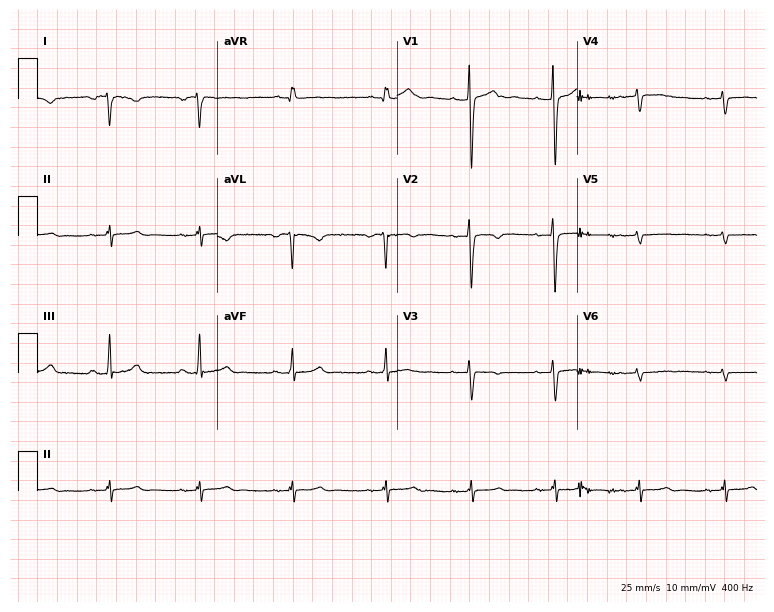
12-lead ECG (7.3-second recording at 400 Hz) from a woman, 23 years old. Screened for six findings — first-degree AV block, right bundle branch block (RBBB), left bundle branch block (LBBB), sinus bradycardia, atrial fibrillation (AF), sinus tachycardia — none is recorded. Other findings, if any, are not listed.